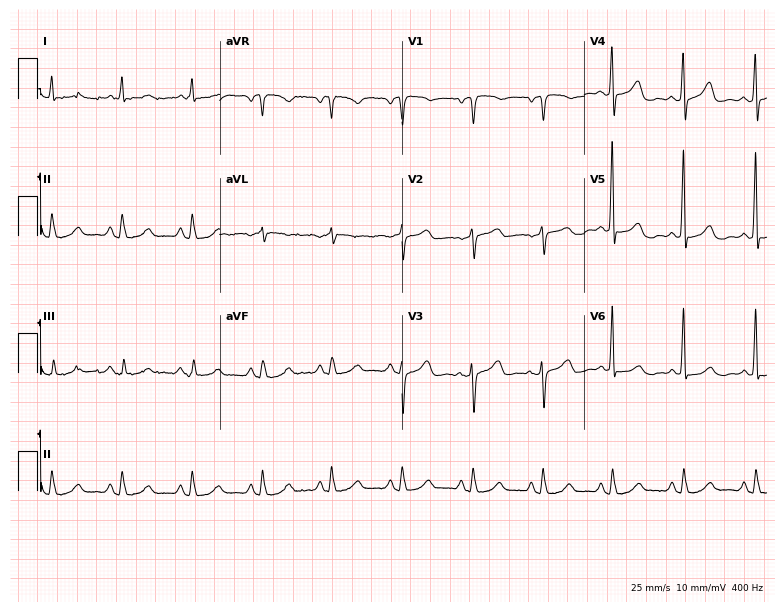
12-lead ECG from a female patient, 75 years old. No first-degree AV block, right bundle branch block (RBBB), left bundle branch block (LBBB), sinus bradycardia, atrial fibrillation (AF) or sinus tachycardia recorded for this tracing.